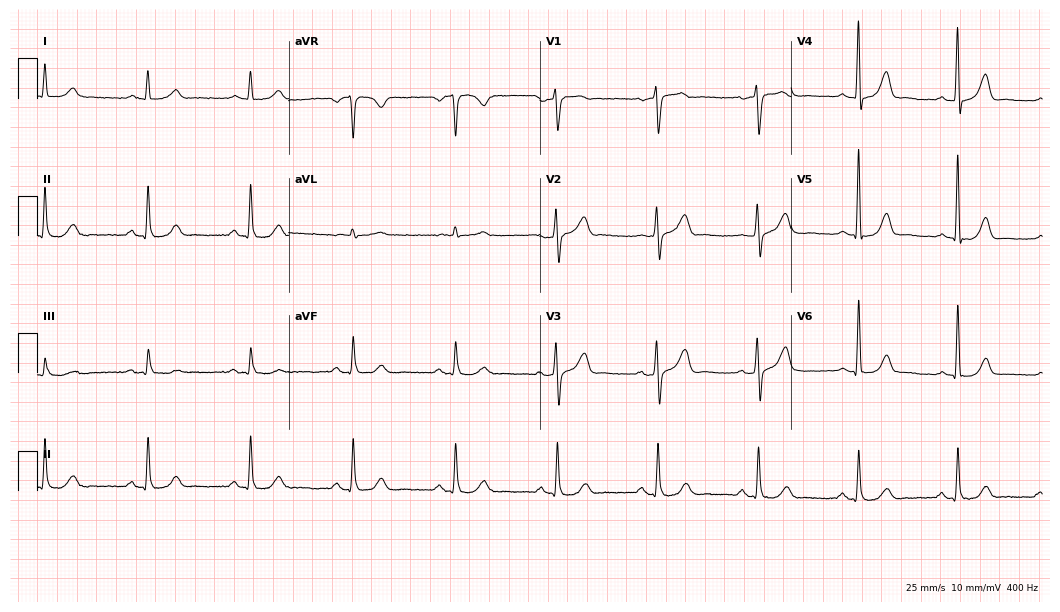
Electrocardiogram (10.2-second recording at 400 Hz), a man, 77 years old. Overall reading on record: normal ECG.